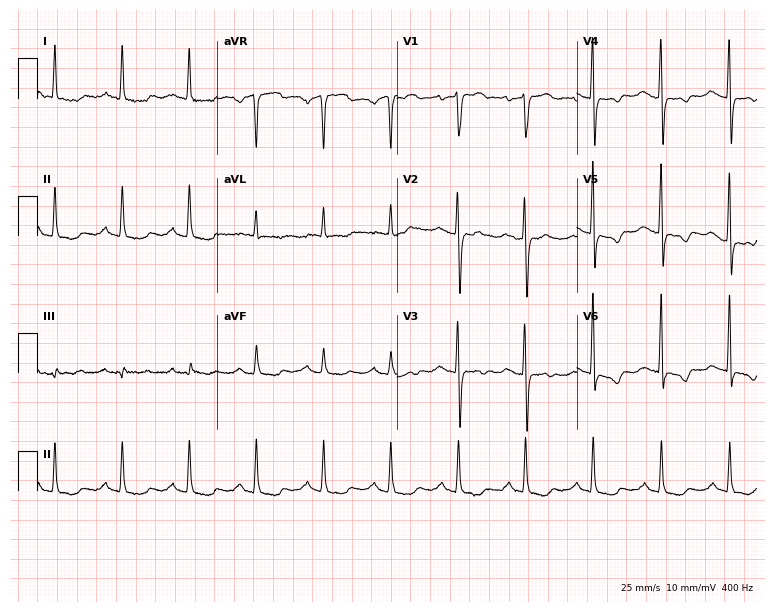
12-lead ECG from a woman, 62 years old. No first-degree AV block, right bundle branch block, left bundle branch block, sinus bradycardia, atrial fibrillation or sinus tachycardia recorded for this tracing. Findings outside these six are not listed.